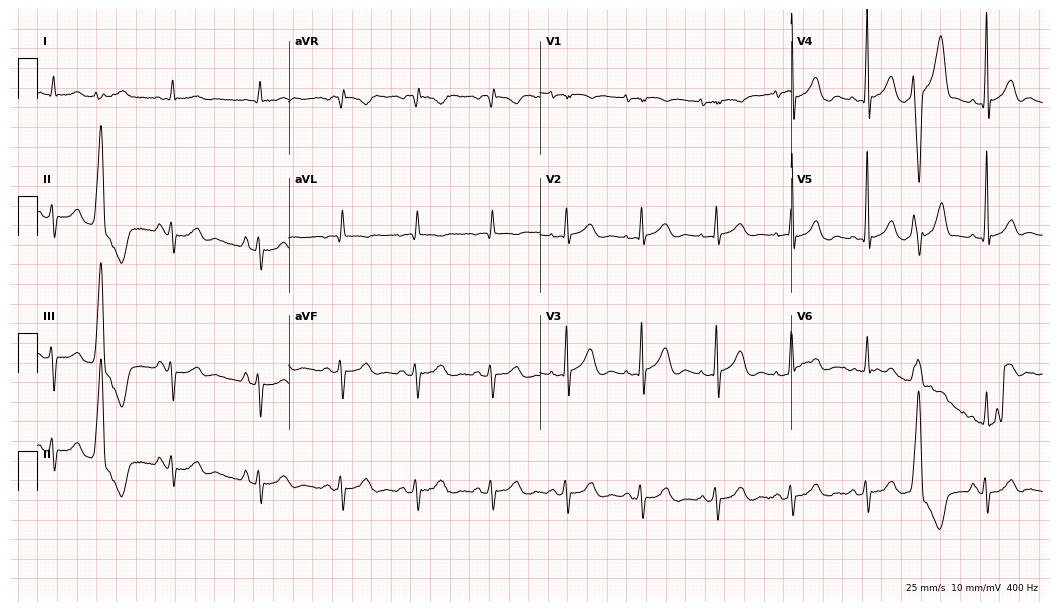
12-lead ECG (10.2-second recording at 400 Hz) from an 80-year-old male patient. Screened for six findings — first-degree AV block, right bundle branch block (RBBB), left bundle branch block (LBBB), sinus bradycardia, atrial fibrillation (AF), sinus tachycardia — none is recorded.